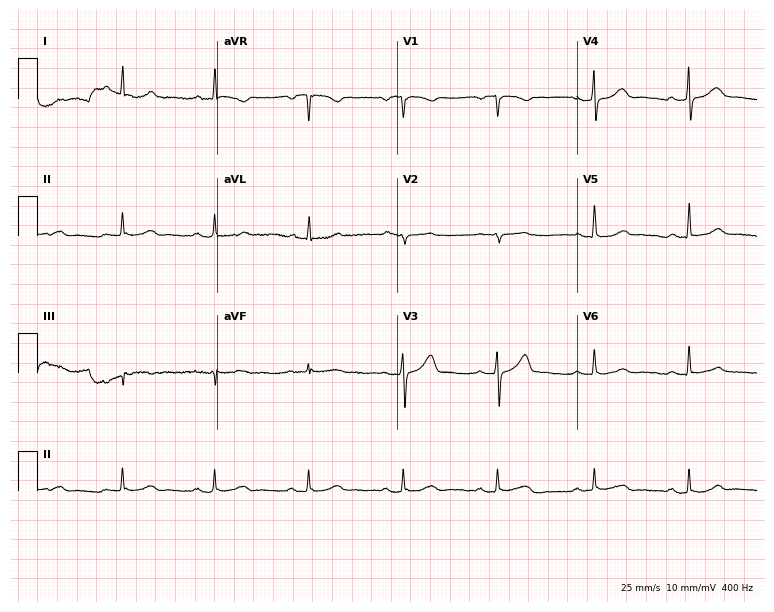
Electrocardiogram, a 52-year-old female patient. Of the six screened findings (first-degree AV block, right bundle branch block, left bundle branch block, sinus bradycardia, atrial fibrillation, sinus tachycardia), none is recorded. Other findings, if any, are not listed.